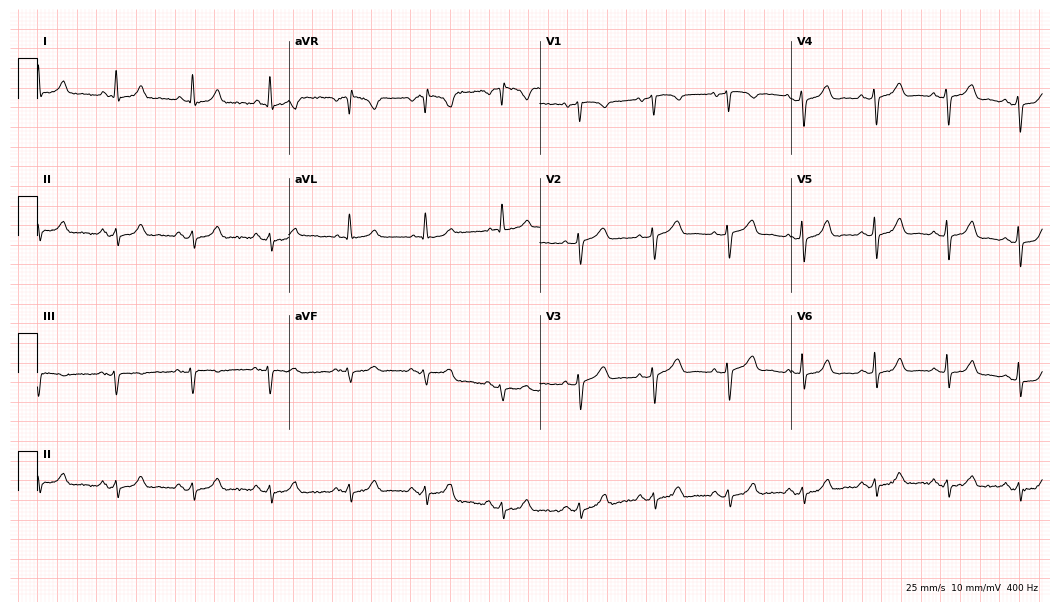
12-lead ECG from a female patient, 81 years old. No first-degree AV block, right bundle branch block, left bundle branch block, sinus bradycardia, atrial fibrillation or sinus tachycardia recorded for this tracing. Only these six findings were labelled.